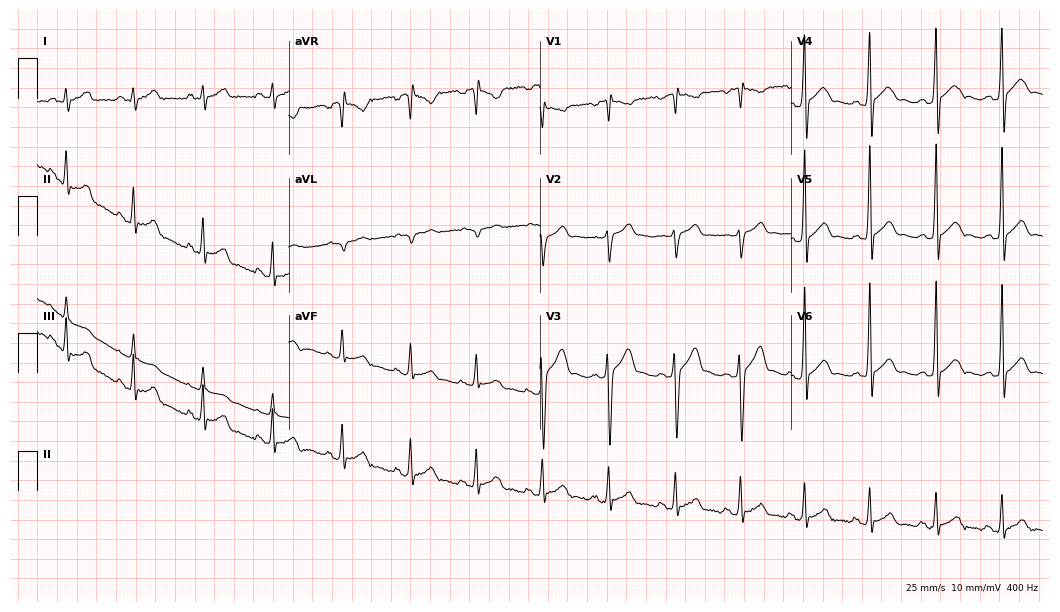
Electrocardiogram (10.2-second recording at 400 Hz), a 20-year-old male patient. Overall reading on record: normal ECG.